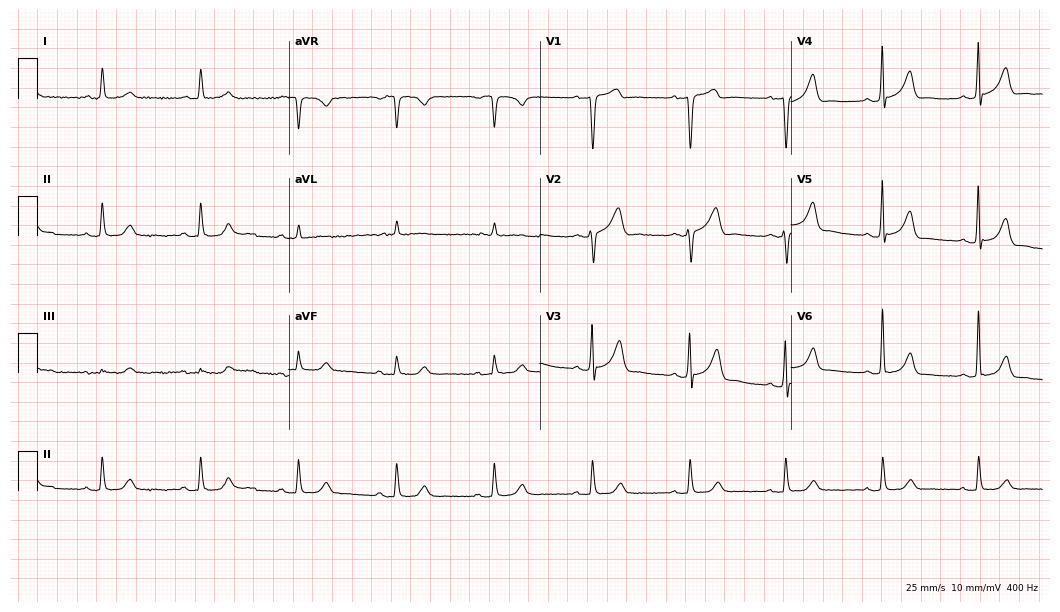
12-lead ECG from a male patient, 80 years old. Screened for six findings — first-degree AV block, right bundle branch block, left bundle branch block, sinus bradycardia, atrial fibrillation, sinus tachycardia — none is recorded. Findings outside these six are not listed.